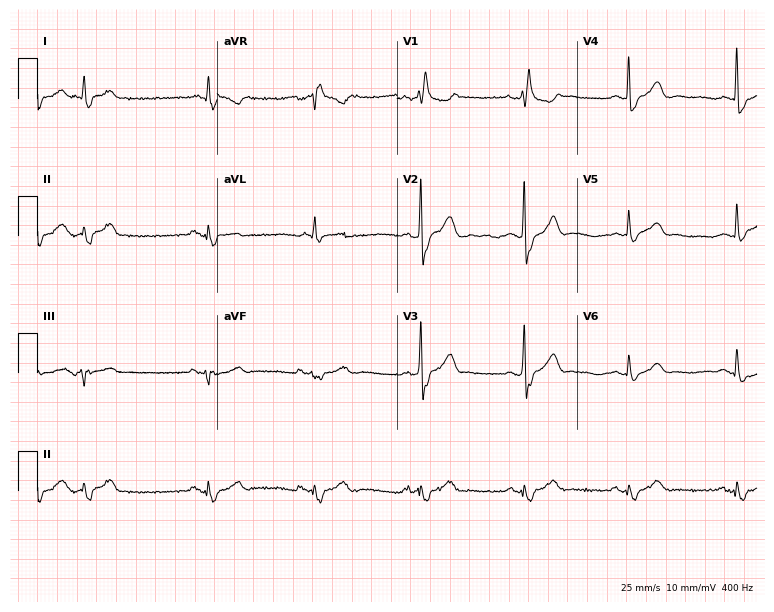
Resting 12-lead electrocardiogram. Patient: a male, 76 years old. The tracing shows right bundle branch block.